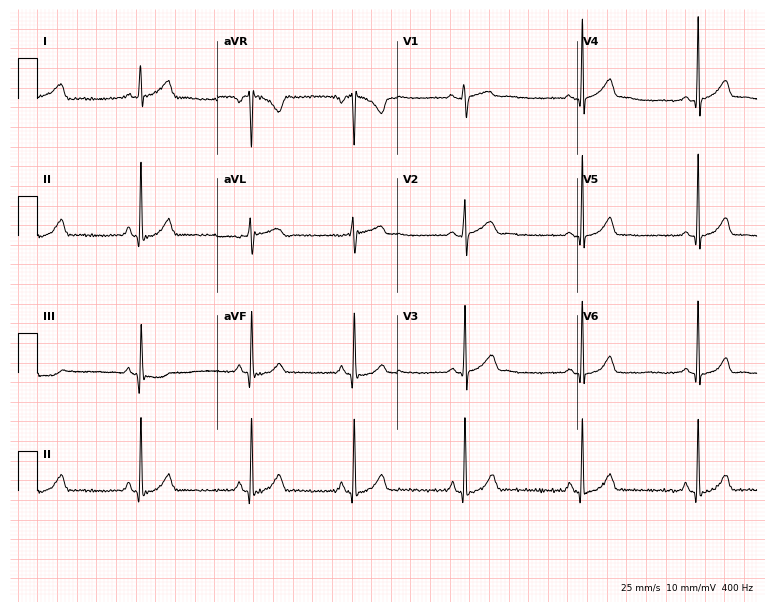
12-lead ECG from a female, 37 years old. Recorded interpretation: within normal limits.